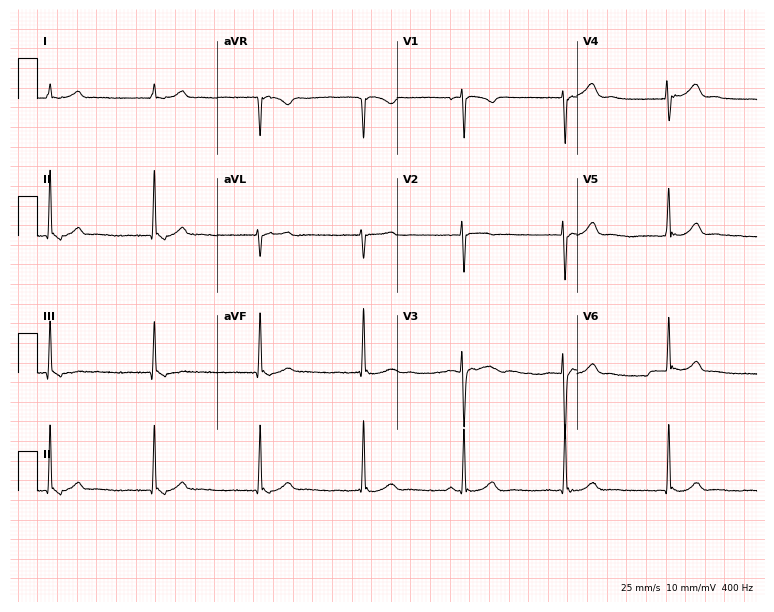
12-lead ECG from an 18-year-old female patient (7.3-second recording at 400 Hz). No first-degree AV block, right bundle branch block (RBBB), left bundle branch block (LBBB), sinus bradycardia, atrial fibrillation (AF) or sinus tachycardia recorded for this tracing. Only these six findings were labelled.